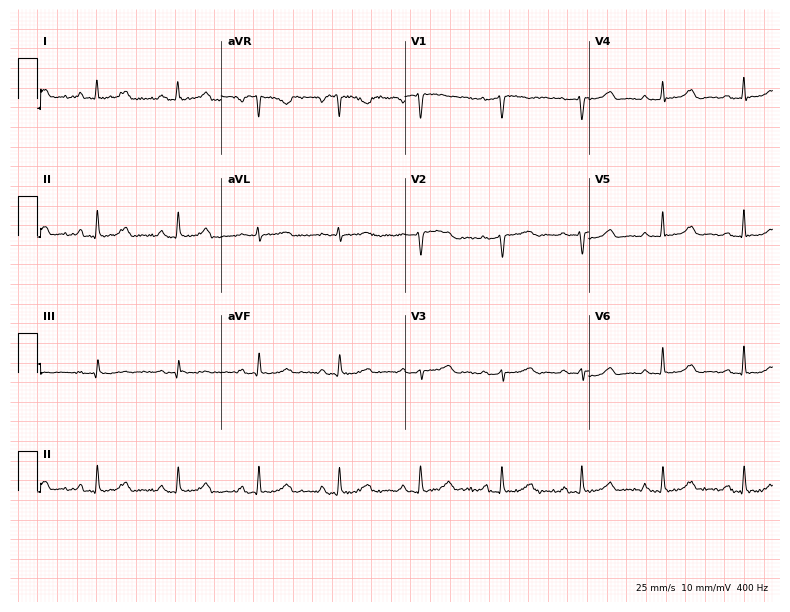
ECG — a 47-year-old female. Labelled as a normal ECG.